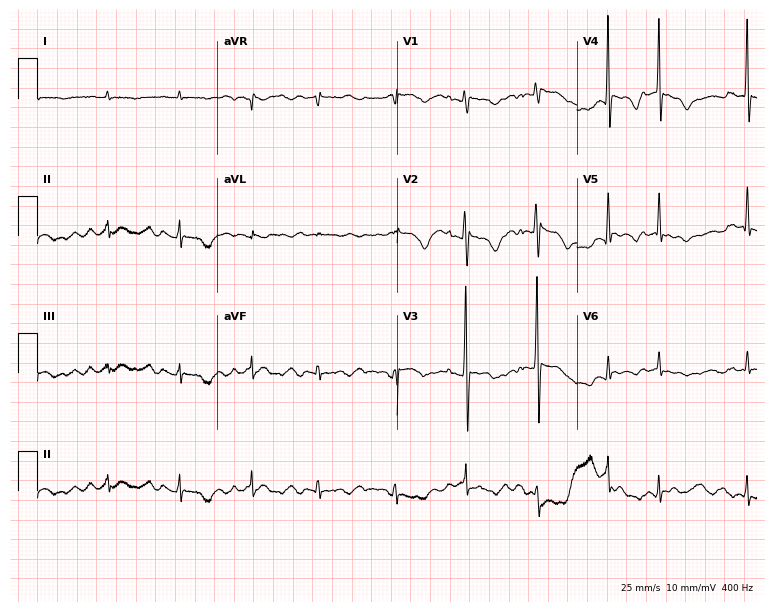
Electrocardiogram (7.3-second recording at 400 Hz), a male, 85 years old. Of the six screened findings (first-degree AV block, right bundle branch block (RBBB), left bundle branch block (LBBB), sinus bradycardia, atrial fibrillation (AF), sinus tachycardia), none is recorded.